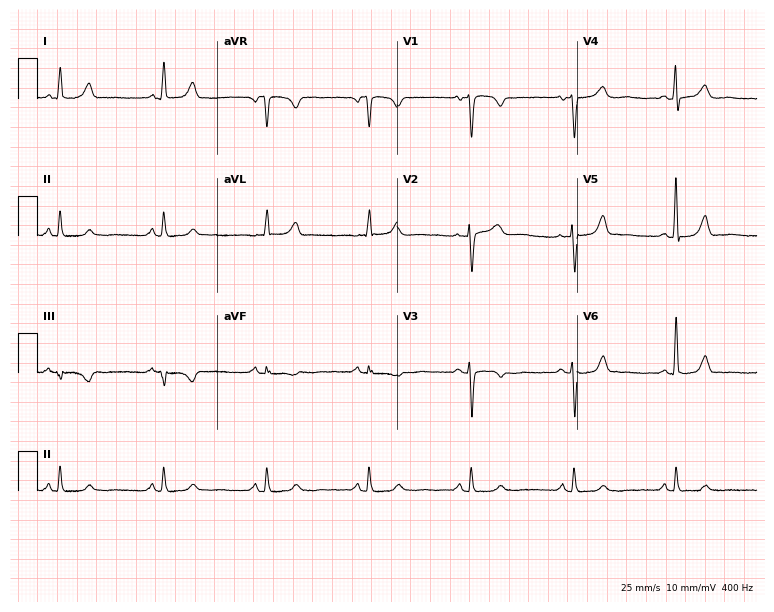
Standard 12-lead ECG recorded from a woman, 51 years old. None of these six findings is recorded: first-degree AV block, right bundle branch block, left bundle branch block, sinus bradycardia, atrial fibrillation, sinus tachycardia. Findings outside these six are not listed.